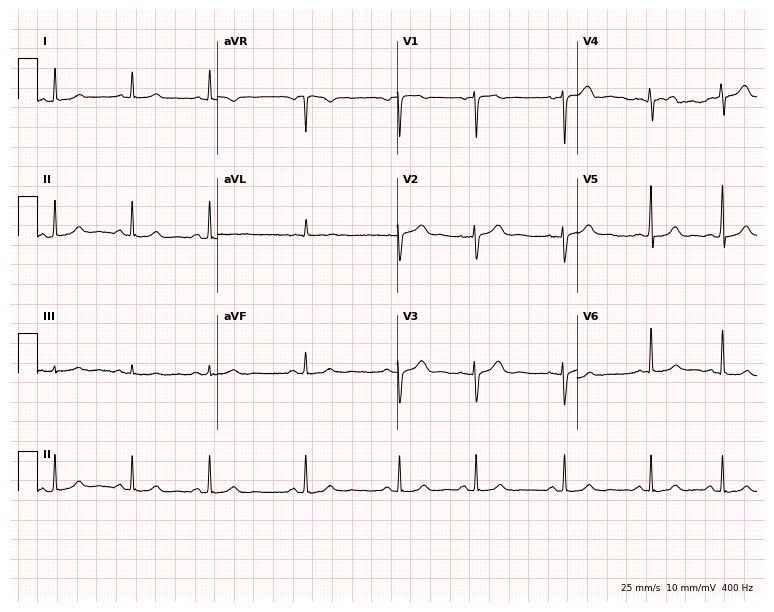
Resting 12-lead electrocardiogram (7.3-second recording at 400 Hz). Patient: a female, 40 years old. None of these six findings is recorded: first-degree AV block, right bundle branch block, left bundle branch block, sinus bradycardia, atrial fibrillation, sinus tachycardia.